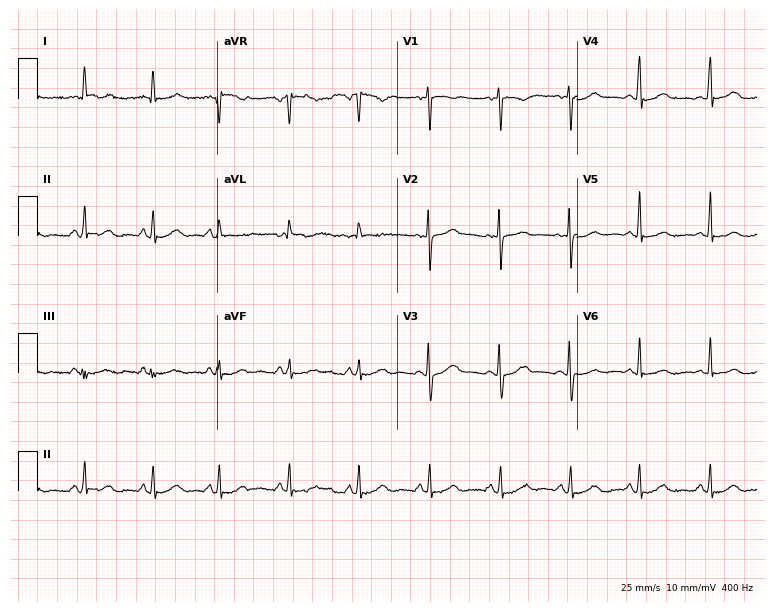
ECG — a 23-year-old female patient. Labelled as a normal ECG.